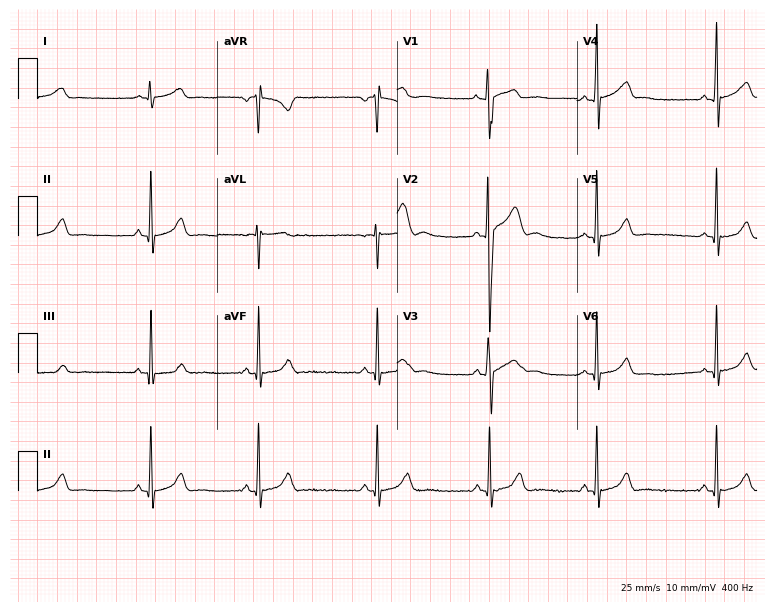
12-lead ECG from a 17-year-old man (7.3-second recording at 400 Hz). No first-degree AV block, right bundle branch block (RBBB), left bundle branch block (LBBB), sinus bradycardia, atrial fibrillation (AF) or sinus tachycardia recorded for this tracing. Findings outside these six are not listed.